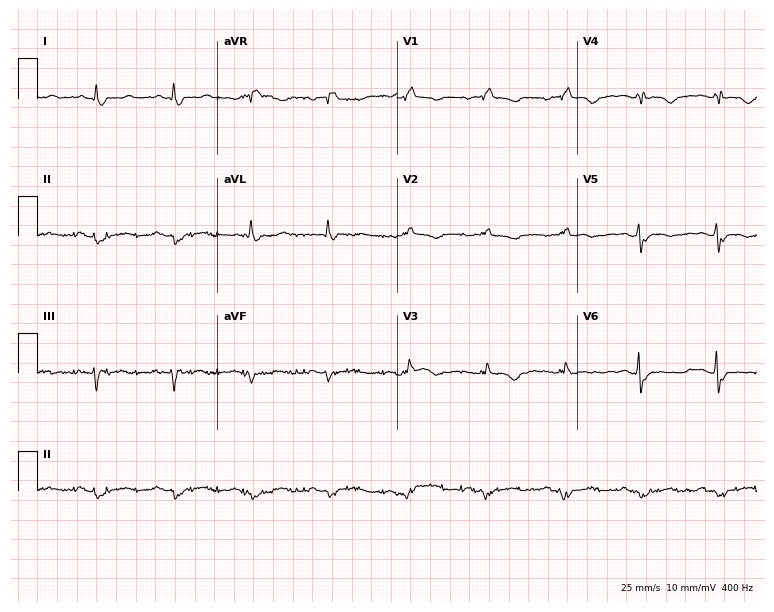
12-lead ECG from a woman, 74 years old (7.3-second recording at 400 Hz). Shows right bundle branch block.